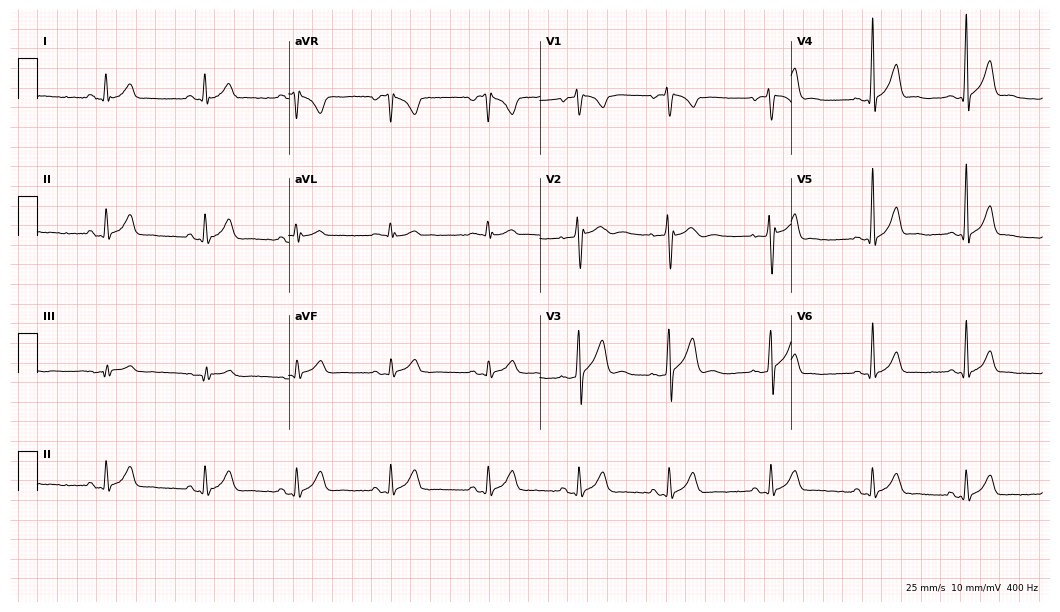
12-lead ECG from a 28-year-old man. Screened for six findings — first-degree AV block, right bundle branch block (RBBB), left bundle branch block (LBBB), sinus bradycardia, atrial fibrillation (AF), sinus tachycardia — none is recorded.